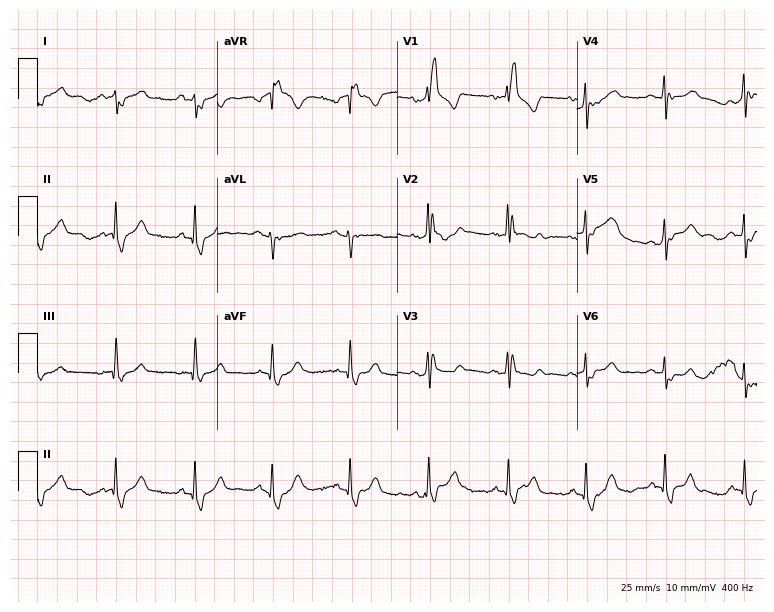
Standard 12-lead ECG recorded from a 48-year-old male patient. The tracing shows right bundle branch block.